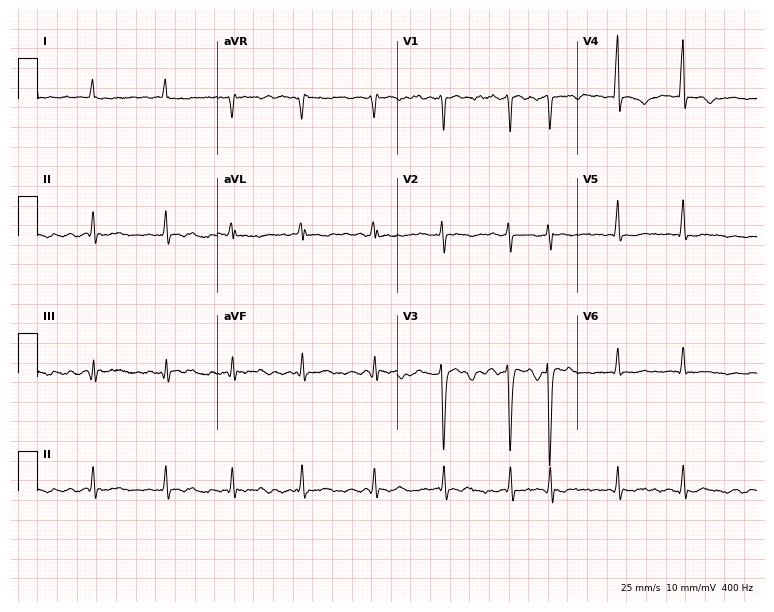
ECG (7.3-second recording at 400 Hz) — a 41-year-old female. Findings include atrial fibrillation (AF).